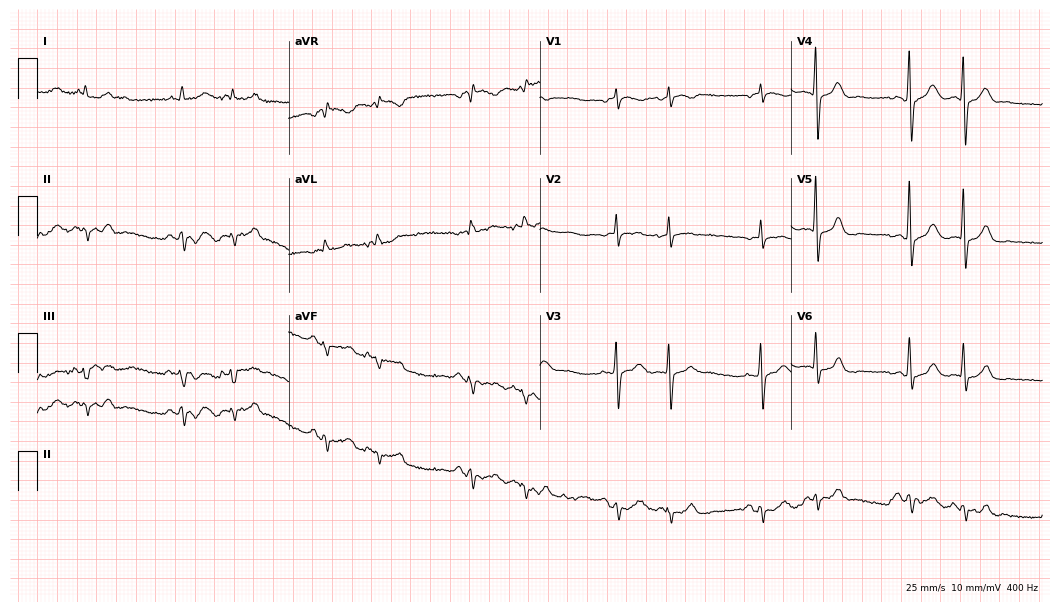
Resting 12-lead electrocardiogram. Patient: a 77-year-old female. None of these six findings is recorded: first-degree AV block, right bundle branch block, left bundle branch block, sinus bradycardia, atrial fibrillation, sinus tachycardia.